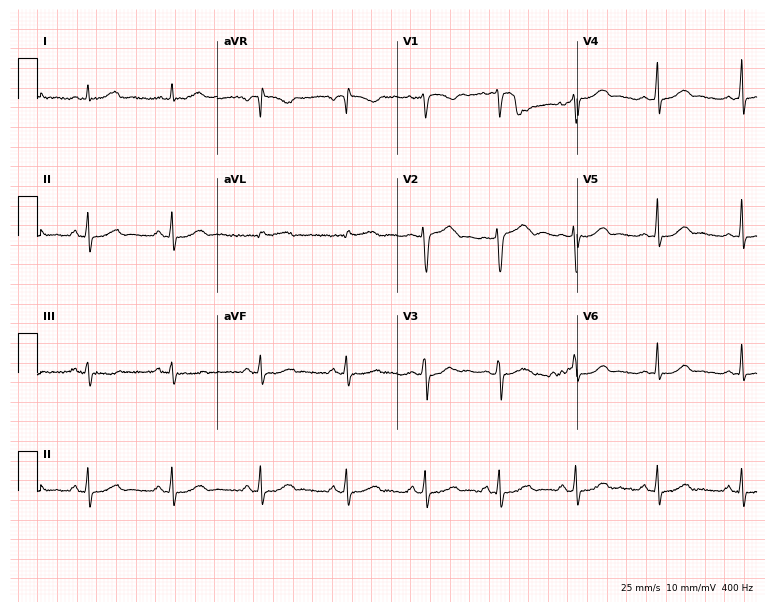
Standard 12-lead ECG recorded from a 30-year-old female patient. Read as a normal ECG.